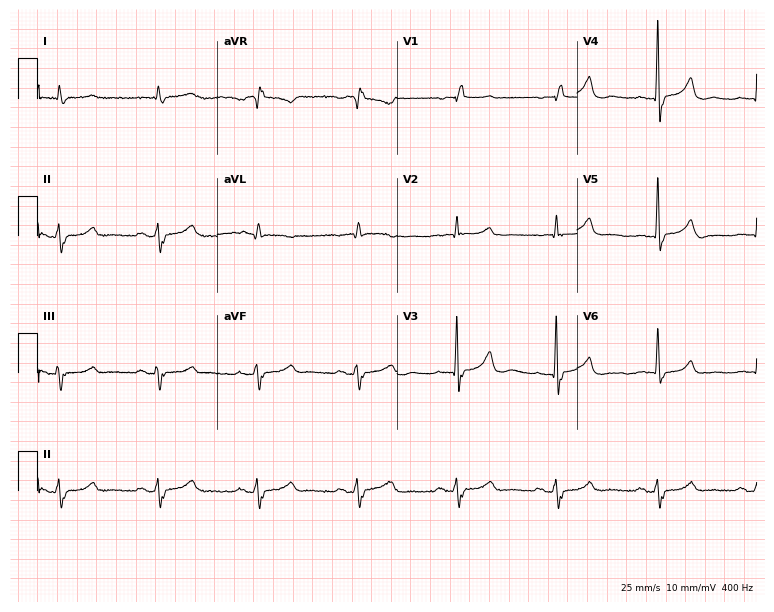
Resting 12-lead electrocardiogram (7.3-second recording at 400 Hz). Patient: a 78-year-old man. None of these six findings is recorded: first-degree AV block, right bundle branch block, left bundle branch block, sinus bradycardia, atrial fibrillation, sinus tachycardia. Findings outside these six are not listed.